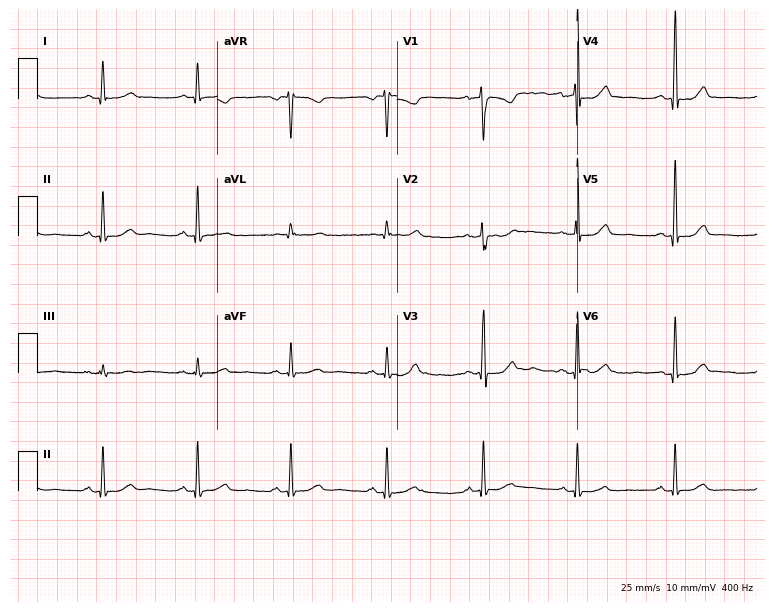
12-lead ECG (7.3-second recording at 400 Hz) from a 37-year-old female patient. Labelled as a normal ECG.